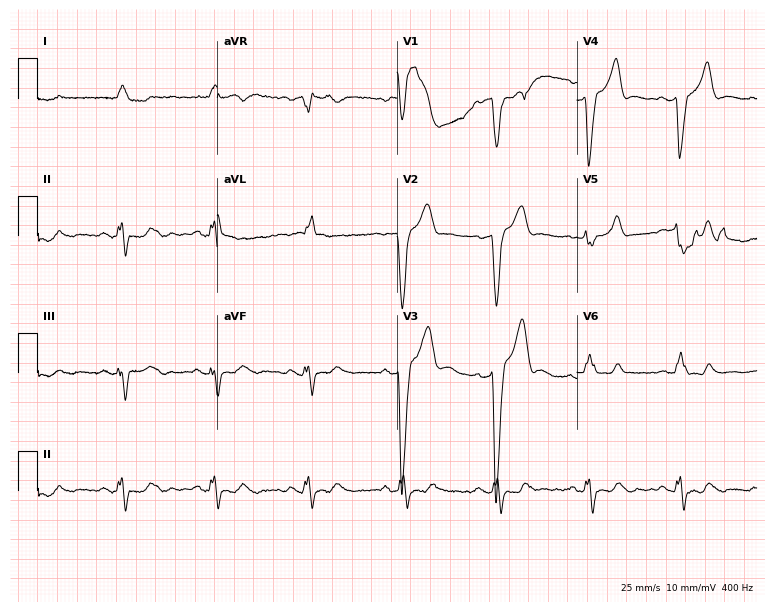
12-lead ECG (7.3-second recording at 400 Hz) from a 62-year-old man. Findings include left bundle branch block.